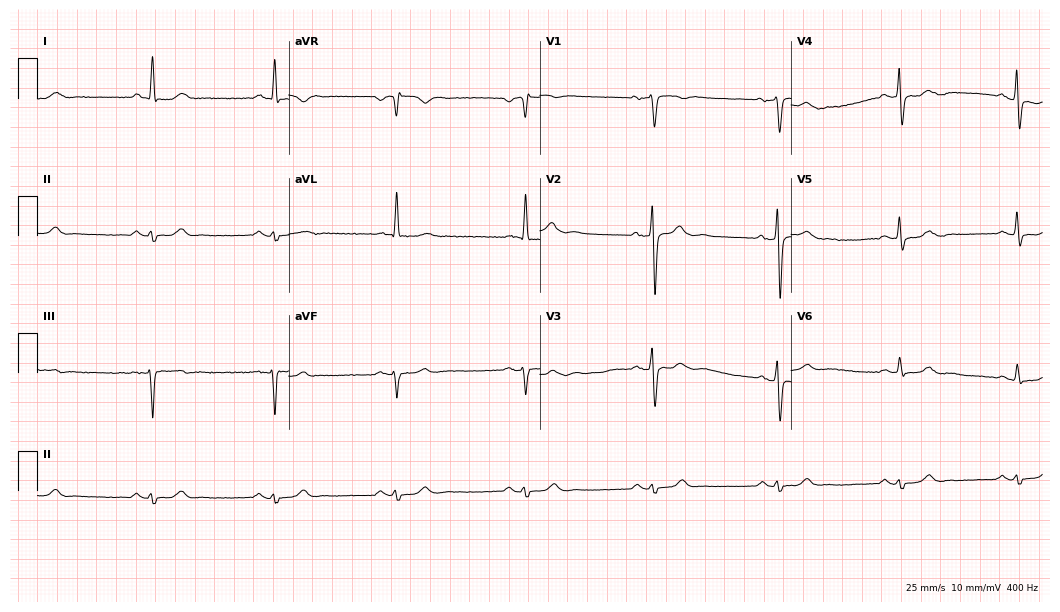
12-lead ECG (10.2-second recording at 400 Hz) from a male, 56 years old. Findings include sinus bradycardia (a sinus rate of 50 beats per minute or less).